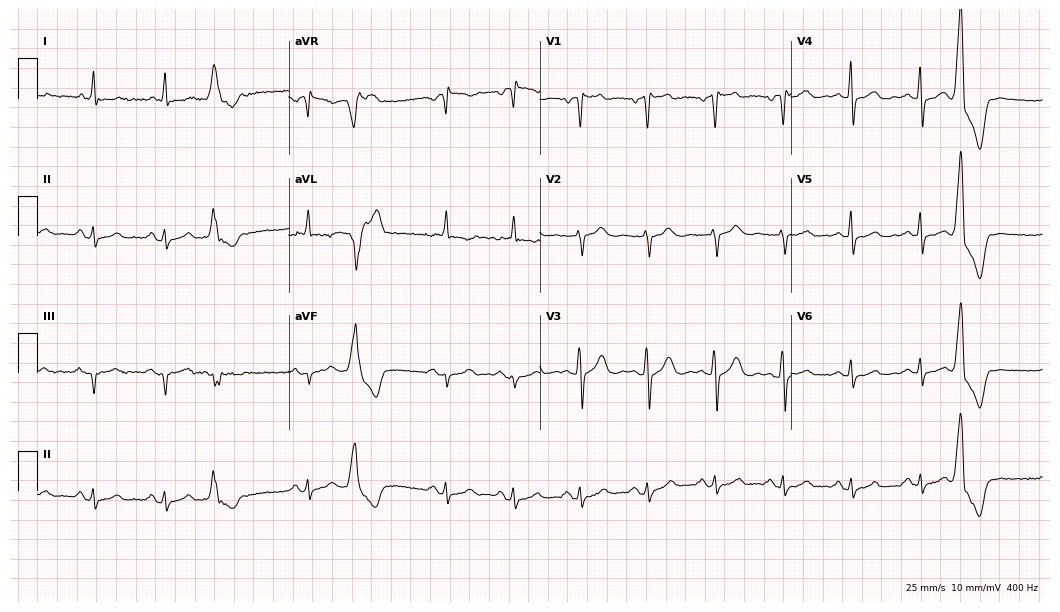
Standard 12-lead ECG recorded from a male, 66 years old (10.2-second recording at 400 Hz). None of these six findings is recorded: first-degree AV block, right bundle branch block, left bundle branch block, sinus bradycardia, atrial fibrillation, sinus tachycardia. Findings outside these six are not listed.